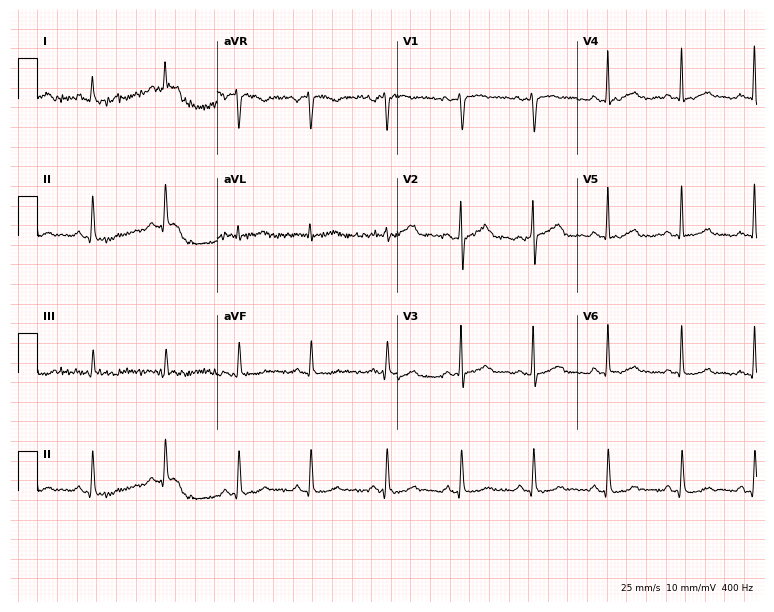
Resting 12-lead electrocardiogram (7.3-second recording at 400 Hz). Patient: a 33-year-old woman. Read as a normal ECG.